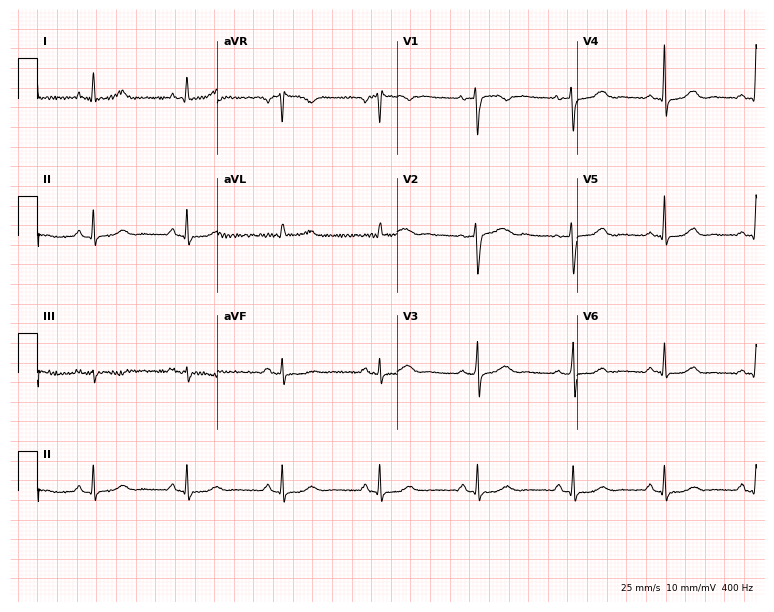
Resting 12-lead electrocardiogram. Patient: a woman, 38 years old. Read as a normal ECG.